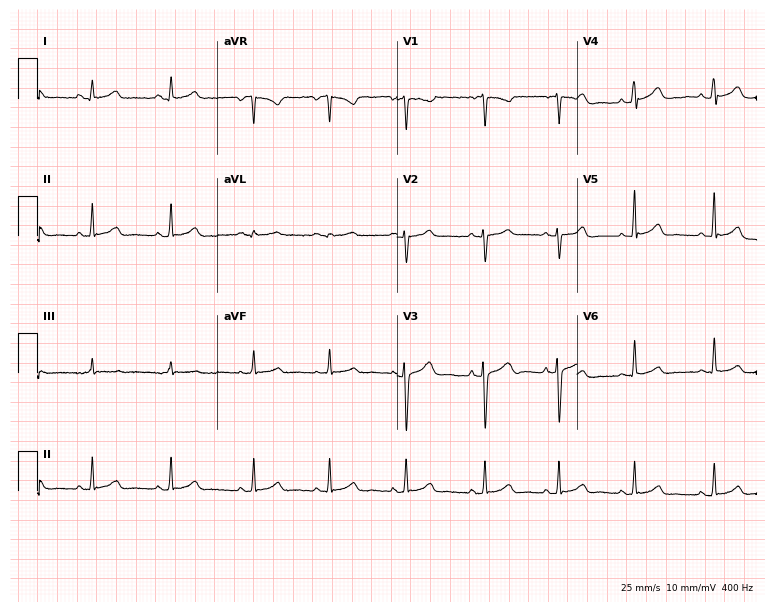
12-lead ECG (7.3-second recording at 400 Hz) from a 31-year-old female patient. Labelled as a normal ECG.